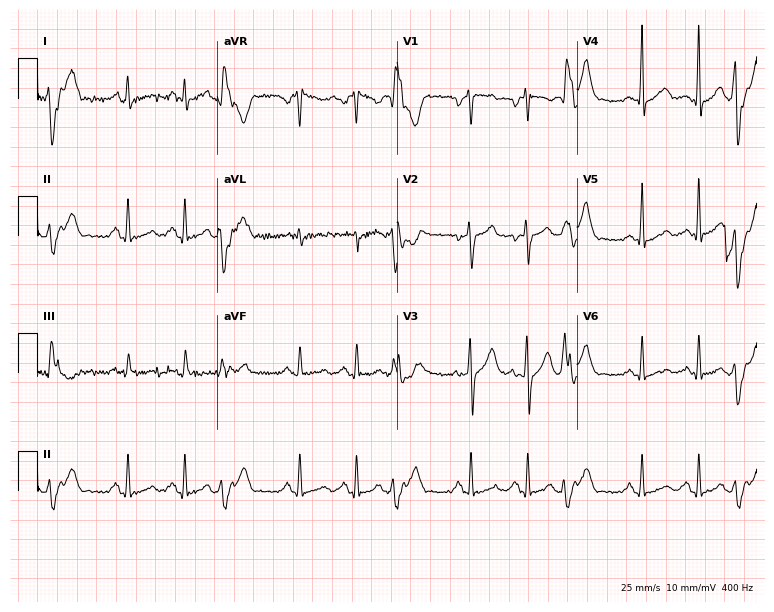
Electrocardiogram (7.3-second recording at 400 Hz), a 46-year-old male. Interpretation includes sinus tachycardia (a sinus rate of 100 beats per minute or more).